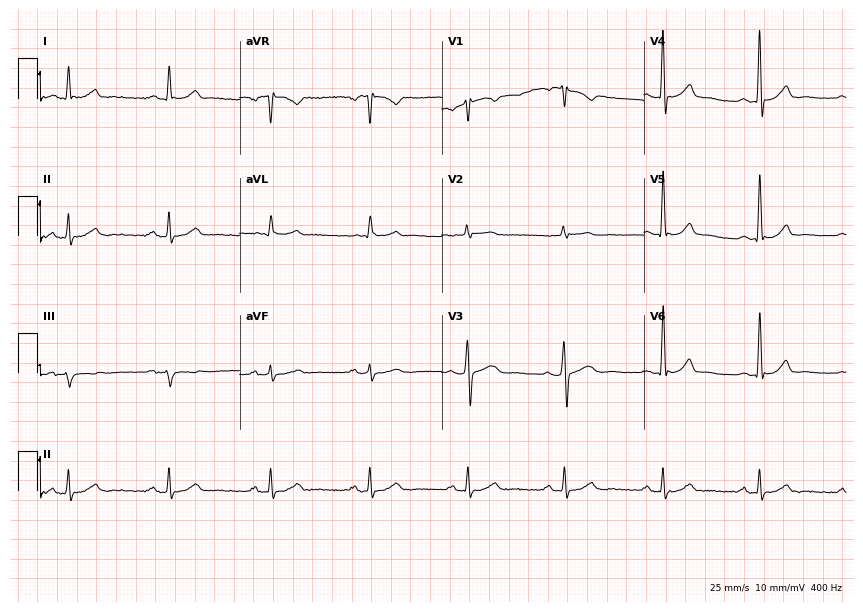
Resting 12-lead electrocardiogram. Patient: a 53-year-old female. None of these six findings is recorded: first-degree AV block, right bundle branch block, left bundle branch block, sinus bradycardia, atrial fibrillation, sinus tachycardia. Other findings, if any, are not listed.